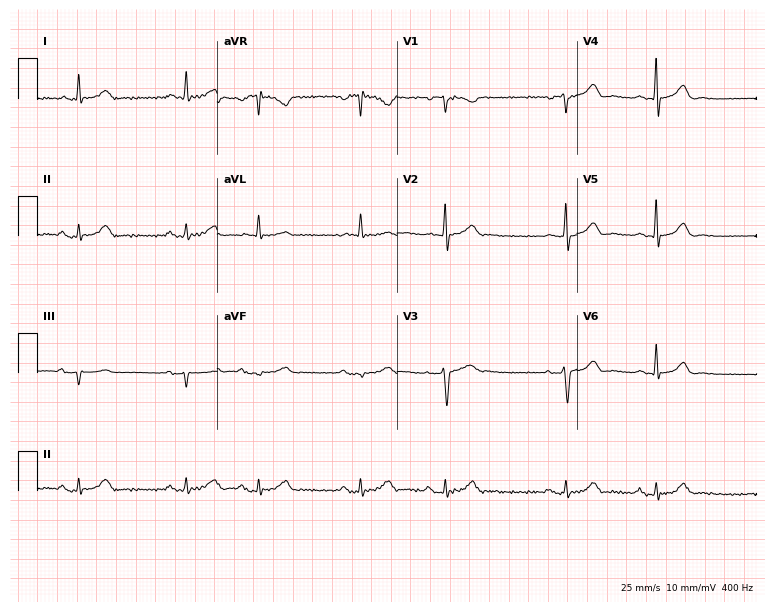
Standard 12-lead ECG recorded from an 80-year-old male (7.3-second recording at 400 Hz). None of these six findings is recorded: first-degree AV block, right bundle branch block, left bundle branch block, sinus bradycardia, atrial fibrillation, sinus tachycardia. Findings outside these six are not listed.